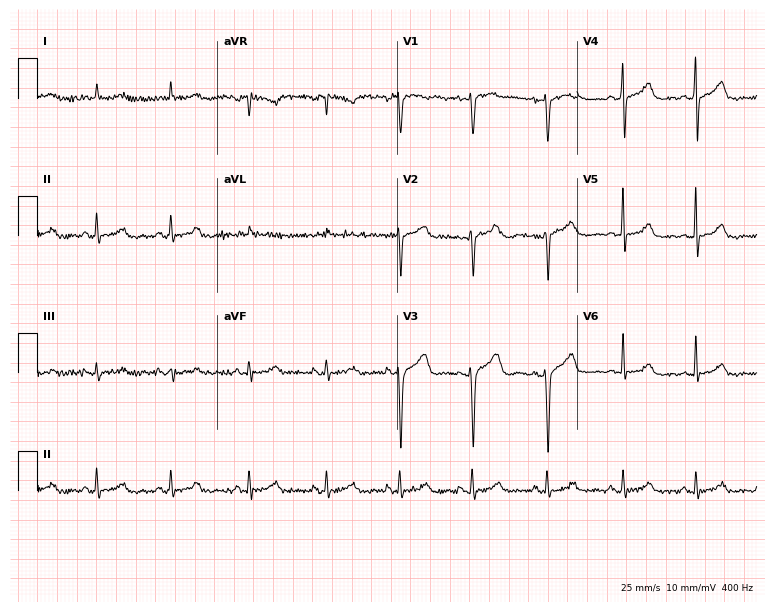
Resting 12-lead electrocardiogram. Patient: a 45-year-old woman. Read as a normal ECG.